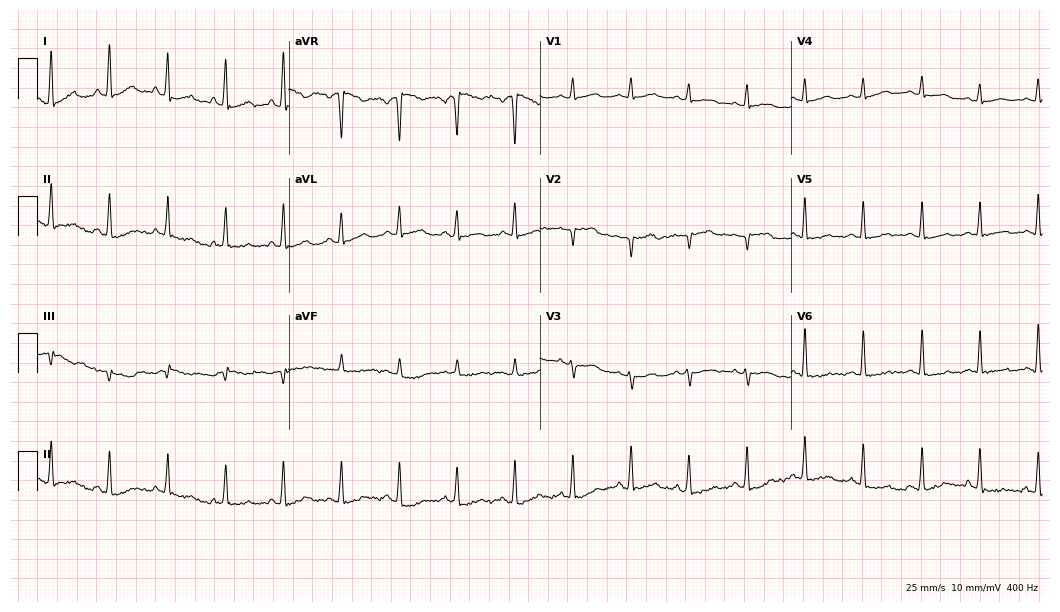
12-lead ECG from a female, 40 years old (10.2-second recording at 400 Hz). No first-degree AV block, right bundle branch block (RBBB), left bundle branch block (LBBB), sinus bradycardia, atrial fibrillation (AF) or sinus tachycardia recorded for this tracing. Only these six findings were labelled.